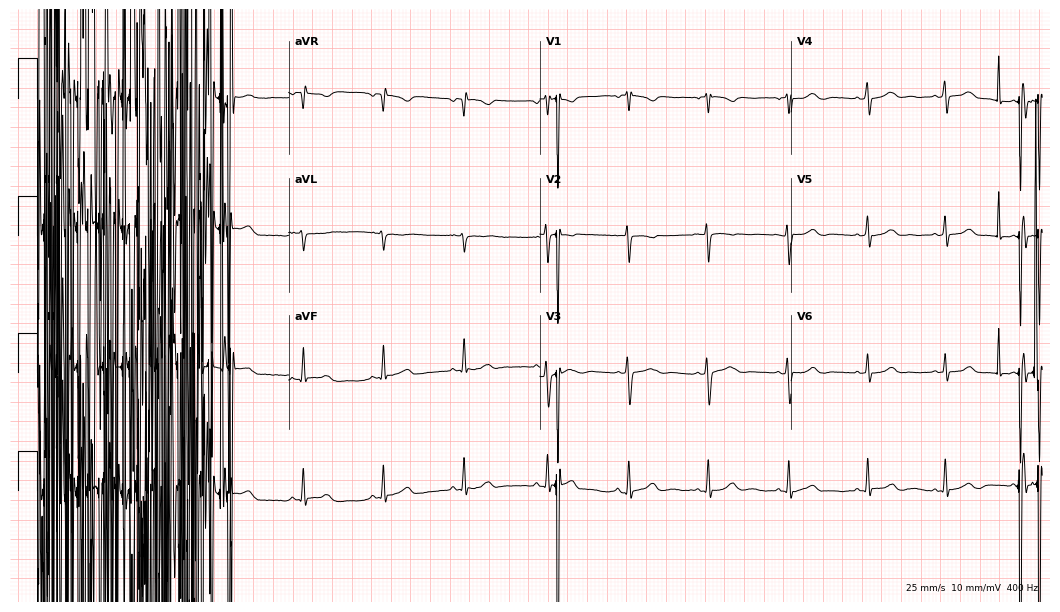
Electrocardiogram (10.2-second recording at 400 Hz), a 21-year-old woman. Of the six screened findings (first-degree AV block, right bundle branch block, left bundle branch block, sinus bradycardia, atrial fibrillation, sinus tachycardia), none is recorded. Other findings, if any, are not listed.